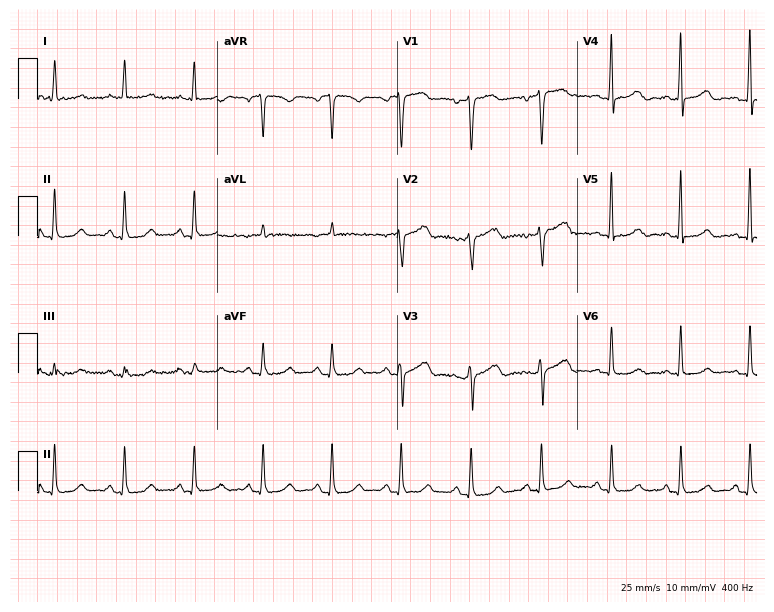
Electrocardiogram, a woman, 63 years old. Overall reading on record: normal ECG.